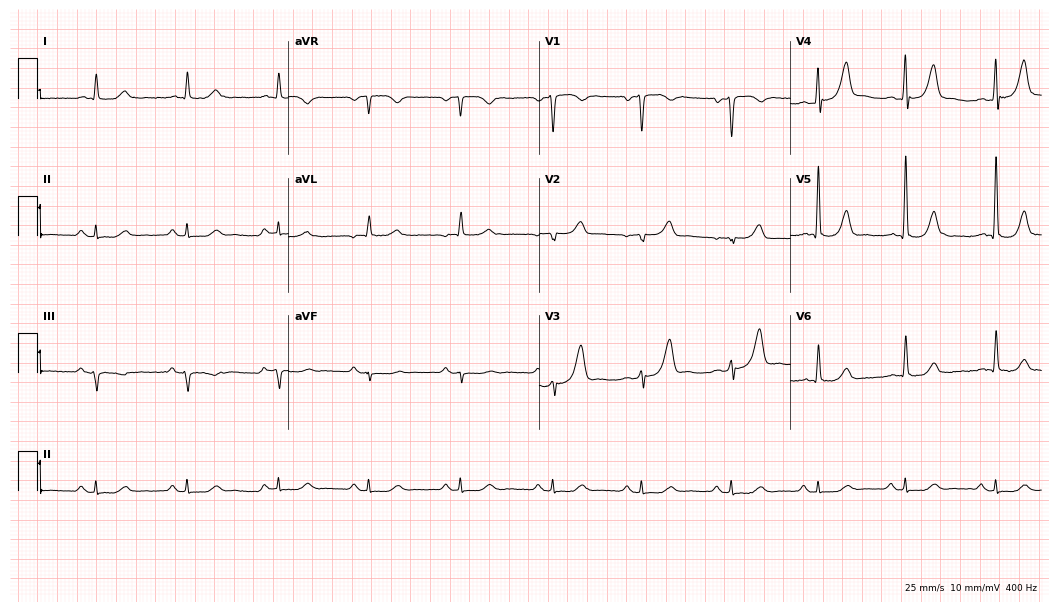
Standard 12-lead ECG recorded from a male patient, 57 years old. None of these six findings is recorded: first-degree AV block, right bundle branch block, left bundle branch block, sinus bradycardia, atrial fibrillation, sinus tachycardia. Other findings, if any, are not listed.